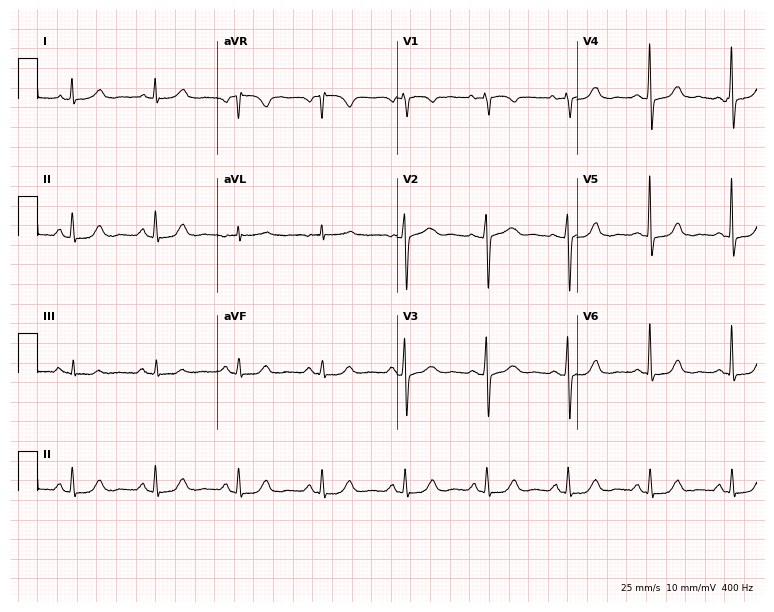
12-lead ECG from a 69-year-old female. Recorded interpretation: within normal limits.